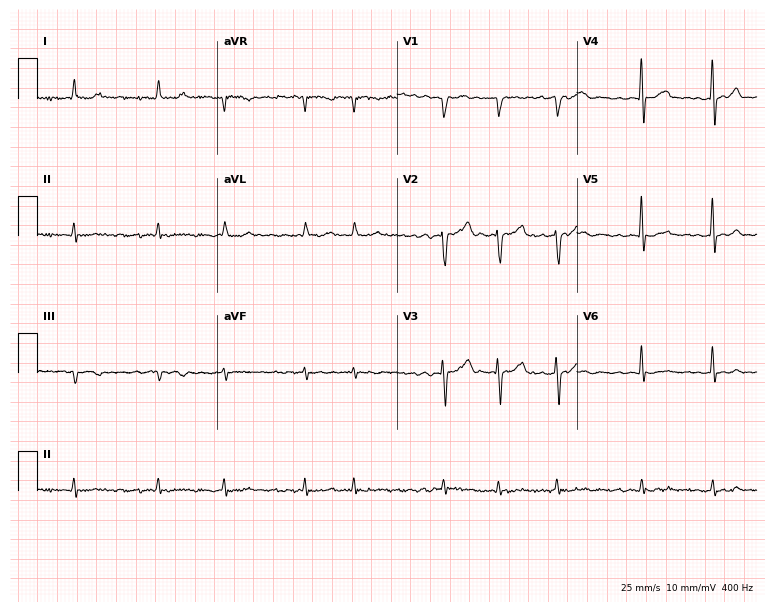
ECG (7.3-second recording at 400 Hz) — a male patient, 81 years old. Findings include atrial fibrillation (AF).